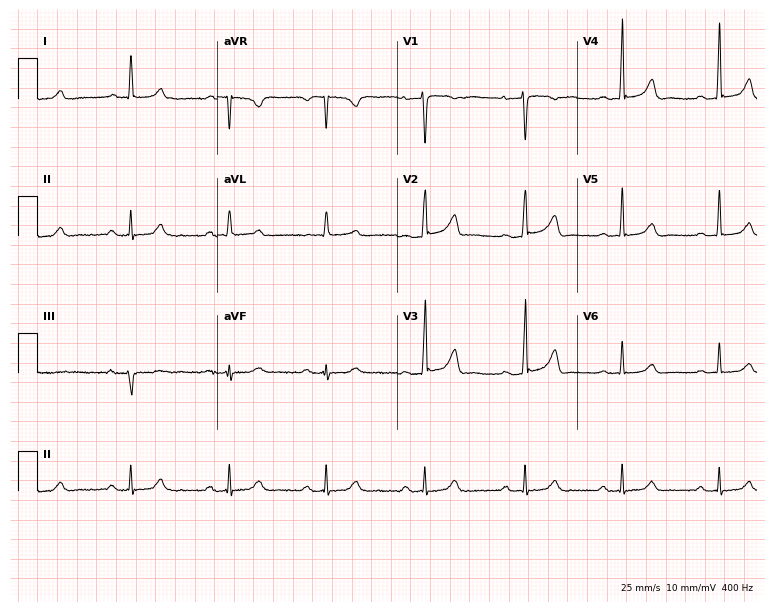
Standard 12-lead ECG recorded from a 52-year-old female (7.3-second recording at 400 Hz). None of these six findings is recorded: first-degree AV block, right bundle branch block, left bundle branch block, sinus bradycardia, atrial fibrillation, sinus tachycardia. Other findings, if any, are not listed.